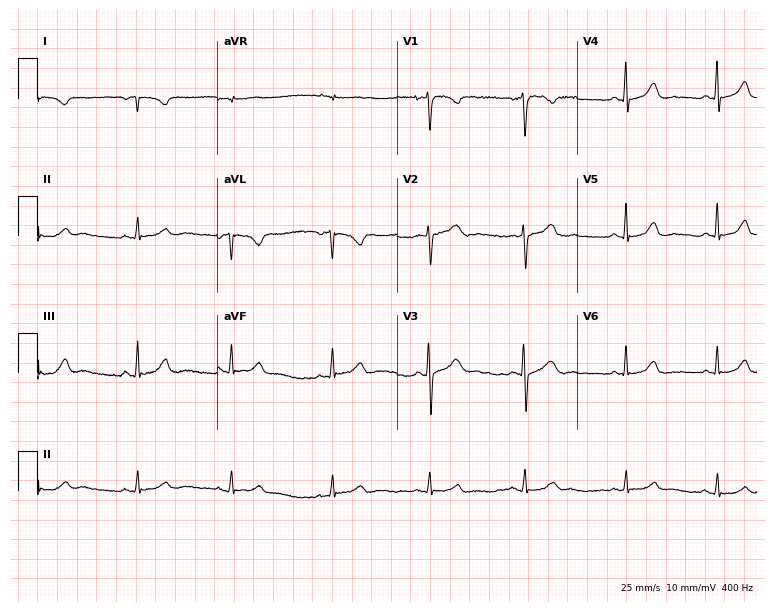
Electrocardiogram, a woman, 24 years old. Of the six screened findings (first-degree AV block, right bundle branch block (RBBB), left bundle branch block (LBBB), sinus bradycardia, atrial fibrillation (AF), sinus tachycardia), none is recorded. Other findings, if any, are not listed.